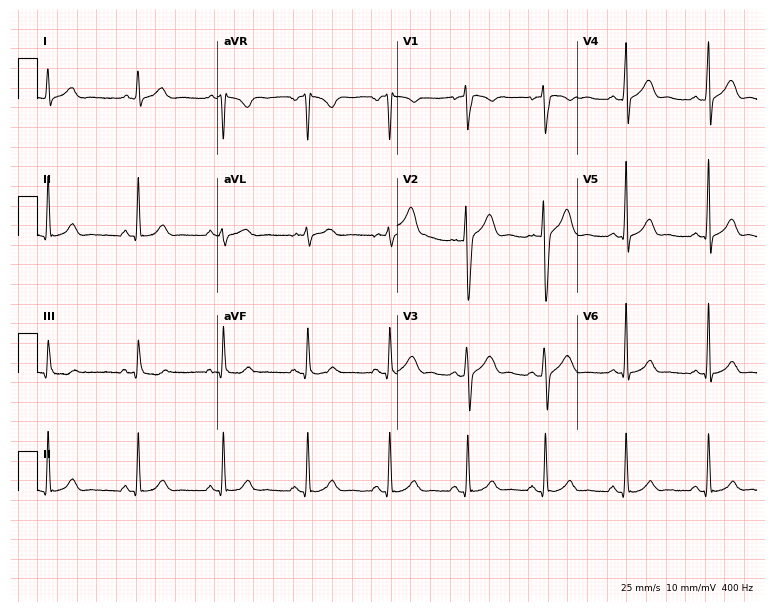
Resting 12-lead electrocardiogram. Patient: a 26-year-old male. Read as a normal ECG.